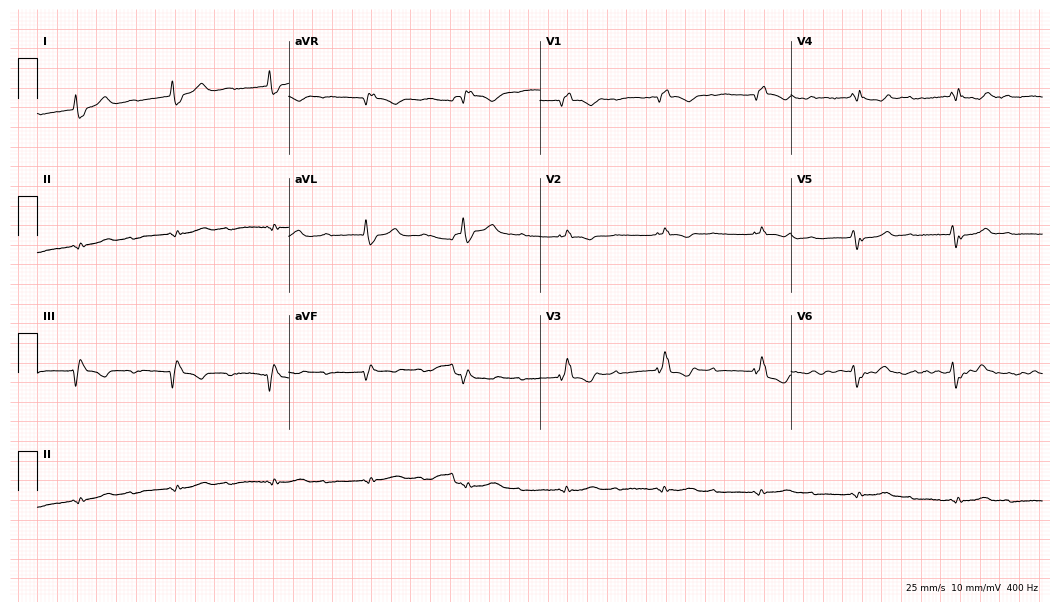
Standard 12-lead ECG recorded from a female patient, 83 years old. None of these six findings is recorded: first-degree AV block, right bundle branch block (RBBB), left bundle branch block (LBBB), sinus bradycardia, atrial fibrillation (AF), sinus tachycardia.